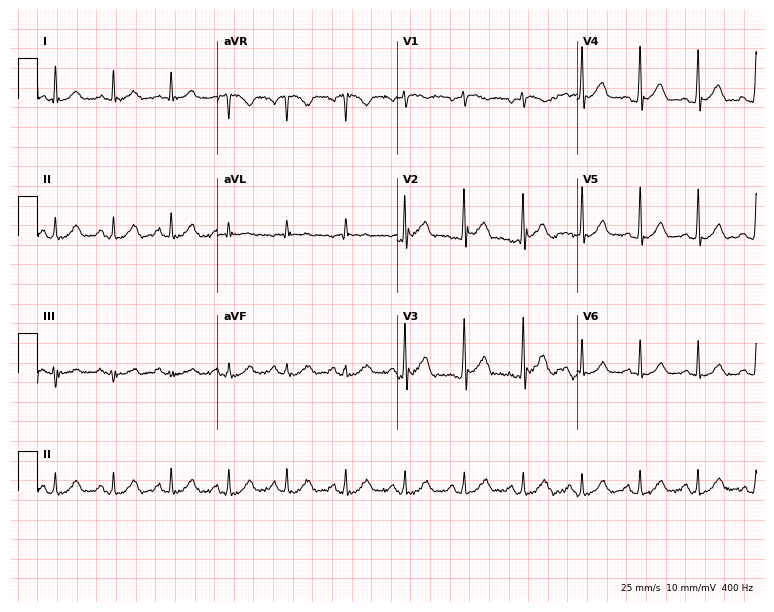
Standard 12-lead ECG recorded from a male patient, 53 years old (7.3-second recording at 400 Hz). Read as a normal ECG.